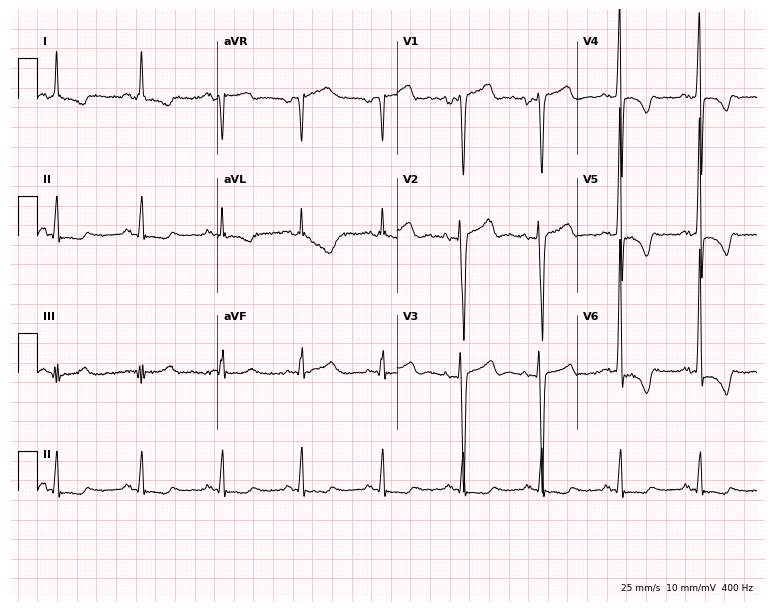
Electrocardiogram (7.3-second recording at 400 Hz), a 41-year-old male patient. Of the six screened findings (first-degree AV block, right bundle branch block, left bundle branch block, sinus bradycardia, atrial fibrillation, sinus tachycardia), none is recorded. Only these six findings were labelled.